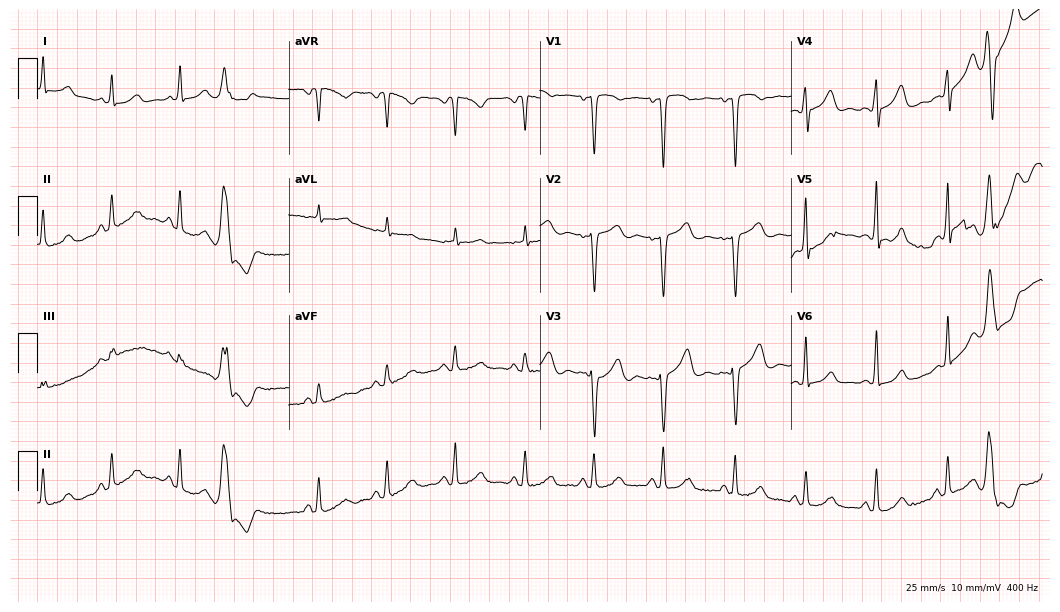
12-lead ECG from a female patient, 52 years old (10.2-second recording at 400 Hz). No first-degree AV block, right bundle branch block (RBBB), left bundle branch block (LBBB), sinus bradycardia, atrial fibrillation (AF) or sinus tachycardia recorded for this tracing.